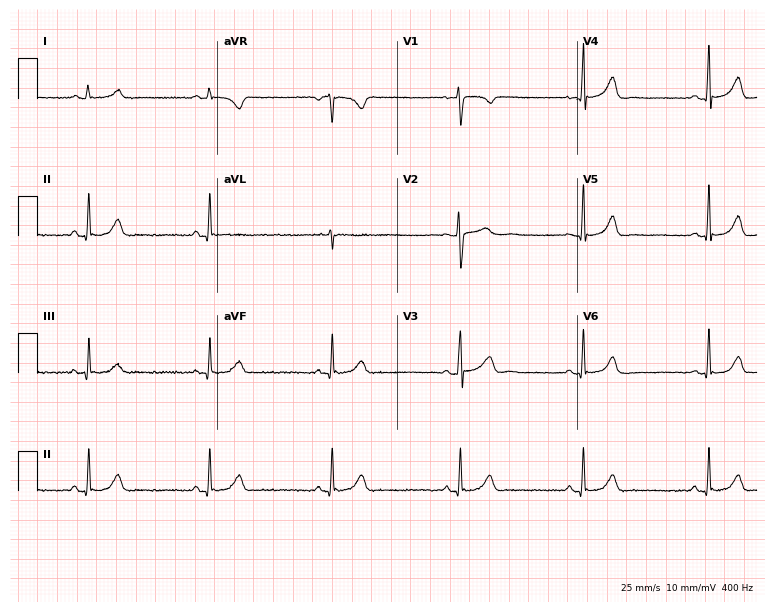
Standard 12-lead ECG recorded from a woman, 21 years old (7.3-second recording at 400 Hz). The tracing shows sinus bradycardia (a sinus rate of 50 beats per minute or less).